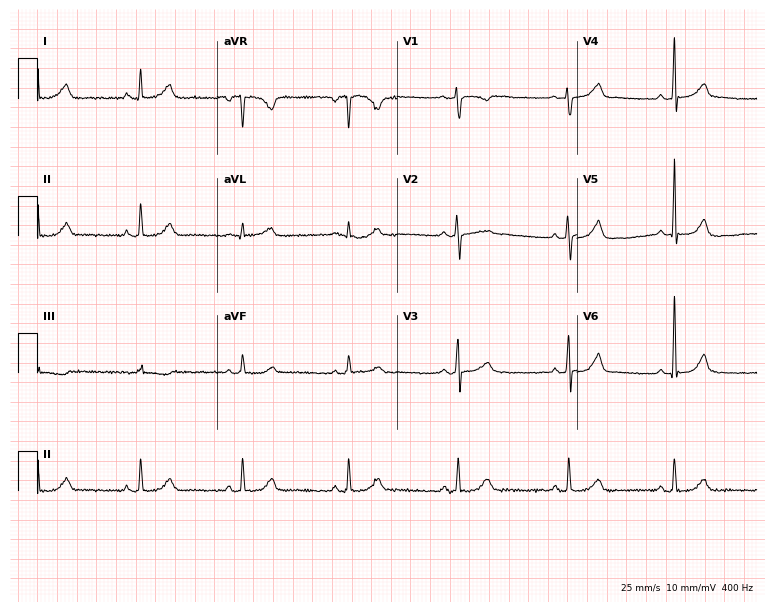
Standard 12-lead ECG recorded from a 42-year-old female (7.3-second recording at 400 Hz). Read as a normal ECG.